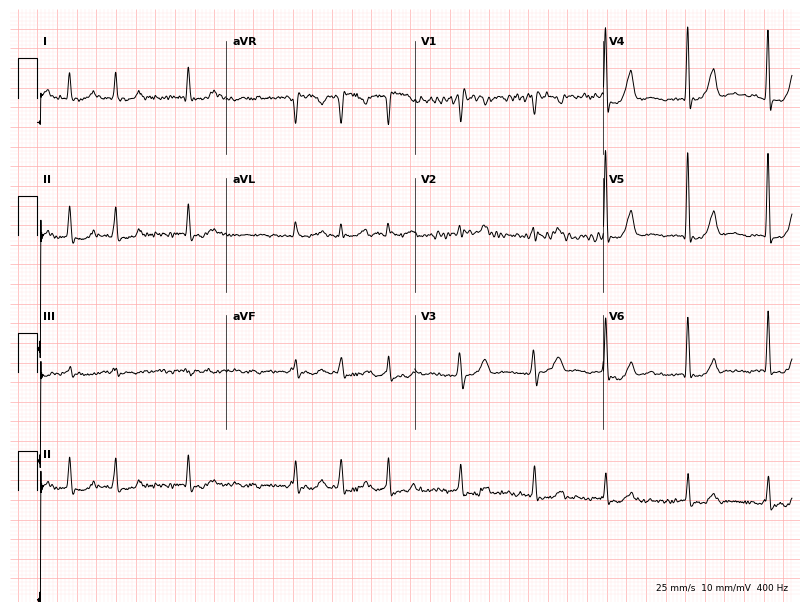
Electrocardiogram (7.7-second recording at 400 Hz), a male, 83 years old. Interpretation includes atrial fibrillation (AF).